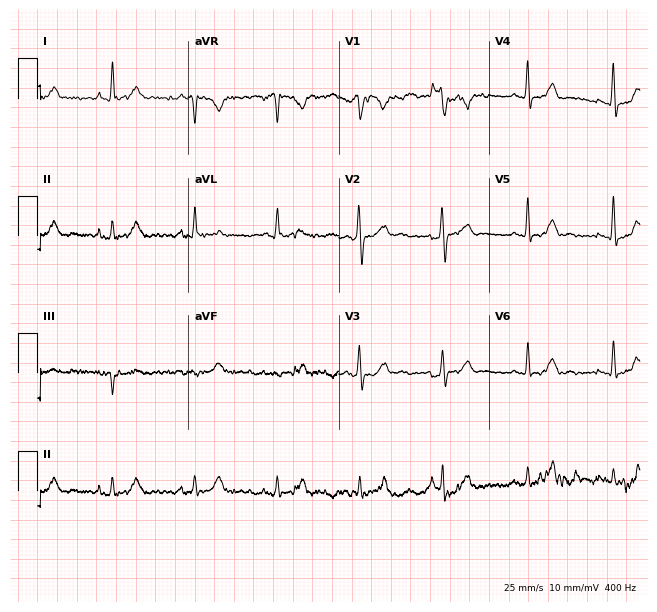
ECG (6.1-second recording at 400 Hz) — a female, 60 years old. Screened for six findings — first-degree AV block, right bundle branch block, left bundle branch block, sinus bradycardia, atrial fibrillation, sinus tachycardia — none is recorded.